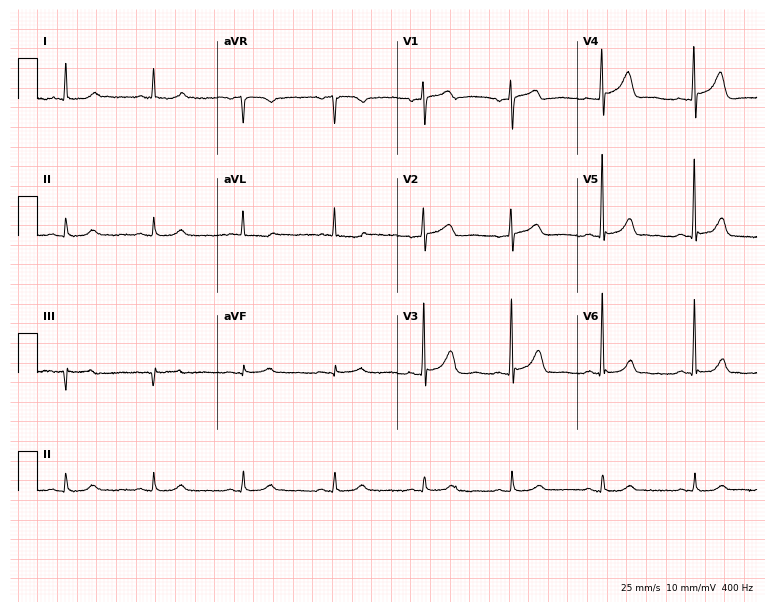
Electrocardiogram (7.3-second recording at 400 Hz), a woman, 64 years old. Of the six screened findings (first-degree AV block, right bundle branch block, left bundle branch block, sinus bradycardia, atrial fibrillation, sinus tachycardia), none is recorded. Only these six findings were labelled.